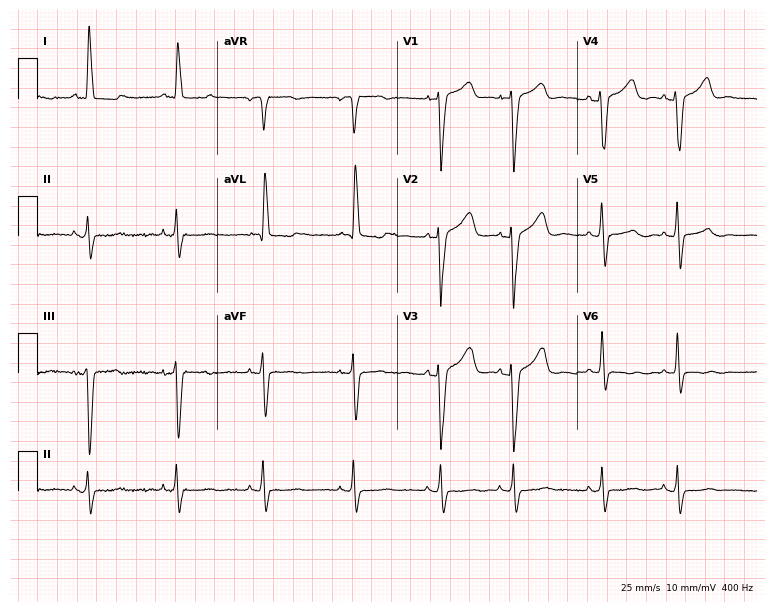
Electrocardiogram (7.3-second recording at 400 Hz), a female patient, 75 years old. Of the six screened findings (first-degree AV block, right bundle branch block (RBBB), left bundle branch block (LBBB), sinus bradycardia, atrial fibrillation (AF), sinus tachycardia), none is recorded.